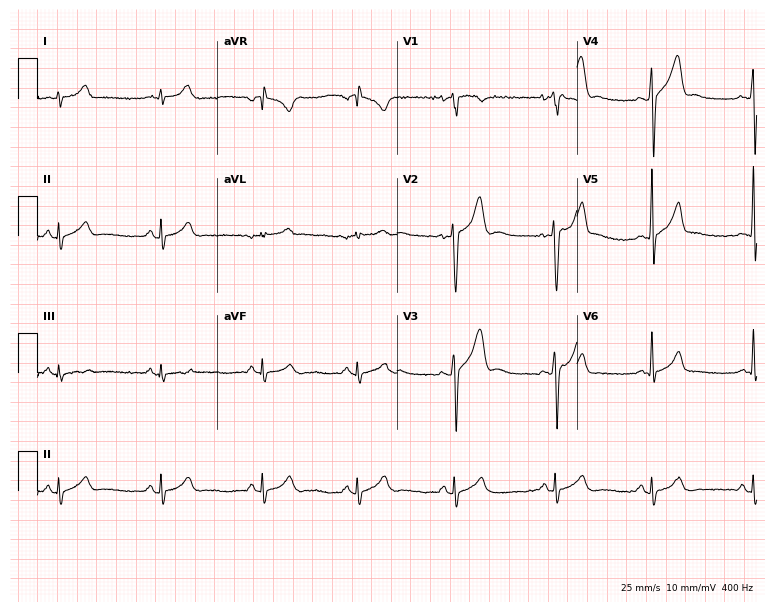
Electrocardiogram (7.3-second recording at 400 Hz), a male patient, 20 years old. Overall reading on record: normal ECG.